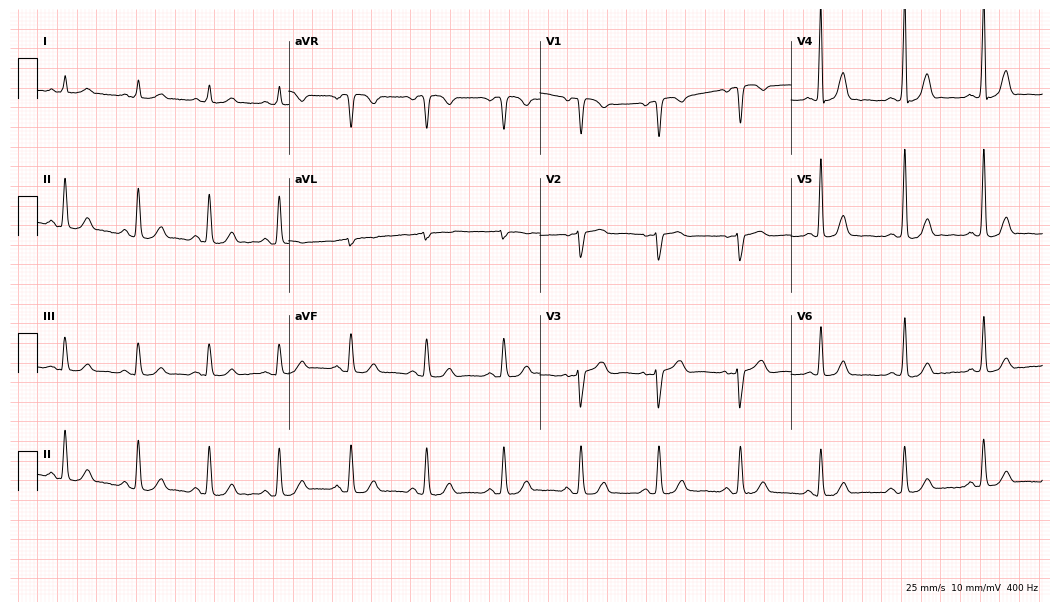
12-lead ECG from a 78-year-old woman (10.2-second recording at 400 Hz). Recorded interpretation: within normal limits.